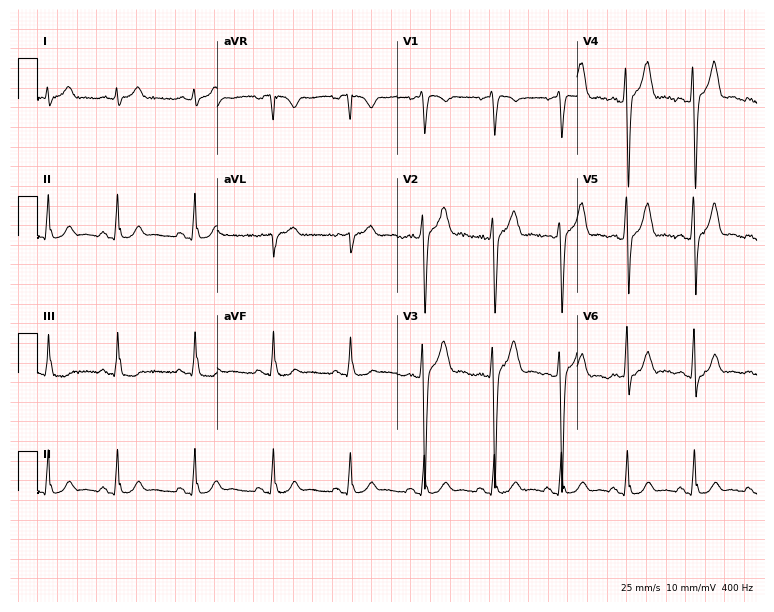
ECG — a male patient, 33 years old. Screened for six findings — first-degree AV block, right bundle branch block (RBBB), left bundle branch block (LBBB), sinus bradycardia, atrial fibrillation (AF), sinus tachycardia — none is recorded.